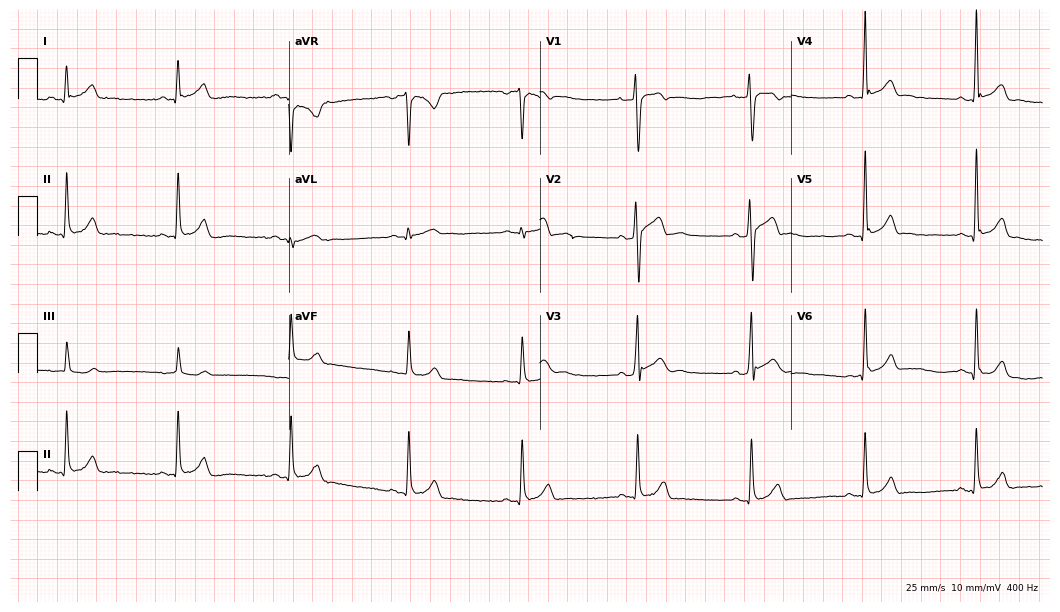
Electrocardiogram, a 26-year-old male patient. Of the six screened findings (first-degree AV block, right bundle branch block (RBBB), left bundle branch block (LBBB), sinus bradycardia, atrial fibrillation (AF), sinus tachycardia), none is recorded. Only these six findings were labelled.